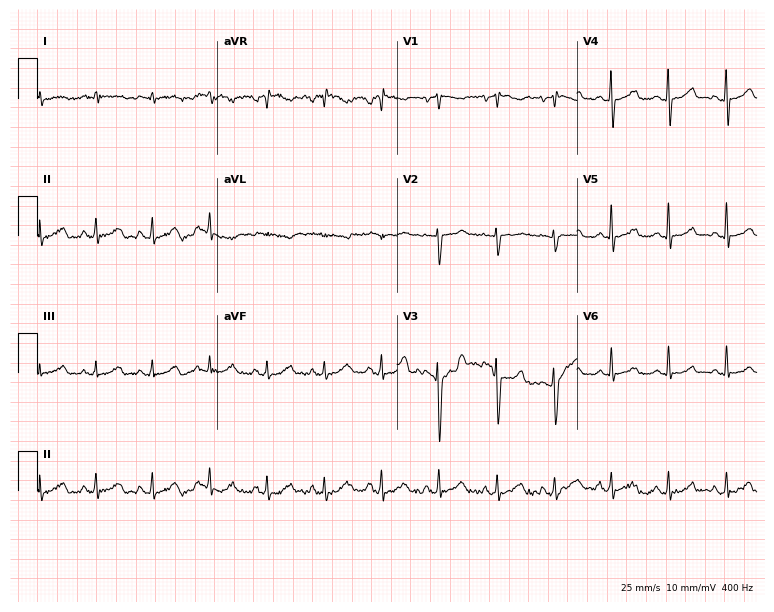
Resting 12-lead electrocardiogram (7.3-second recording at 400 Hz). Patient: a 25-year-old woman. None of these six findings is recorded: first-degree AV block, right bundle branch block, left bundle branch block, sinus bradycardia, atrial fibrillation, sinus tachycardia. Only these six findings were labelled.